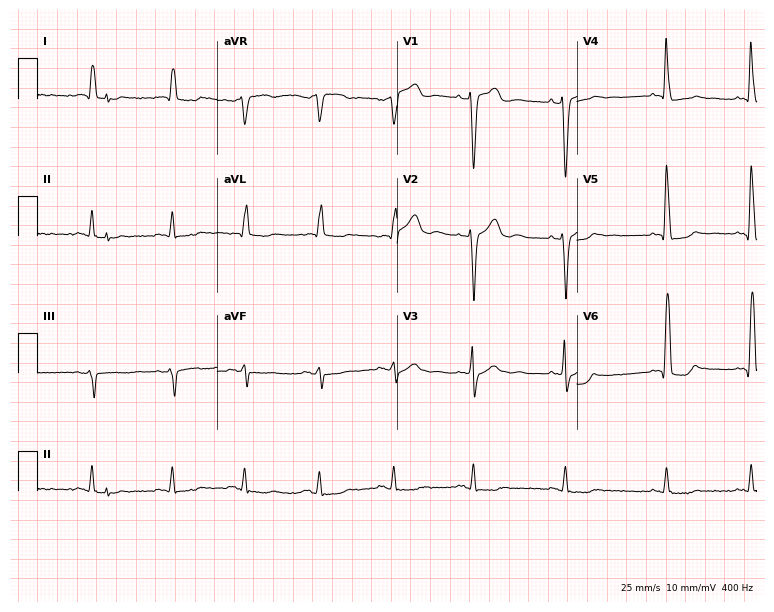
Electrocardiogram, a 77-year-old male. Of the six screened findings (first-degree AV block, right bundle branch block, left bundle branch block, sinus bradycardia, atrial fibrillation, sinus tachycardia), none is recorded. Findings outside these six are not listed.